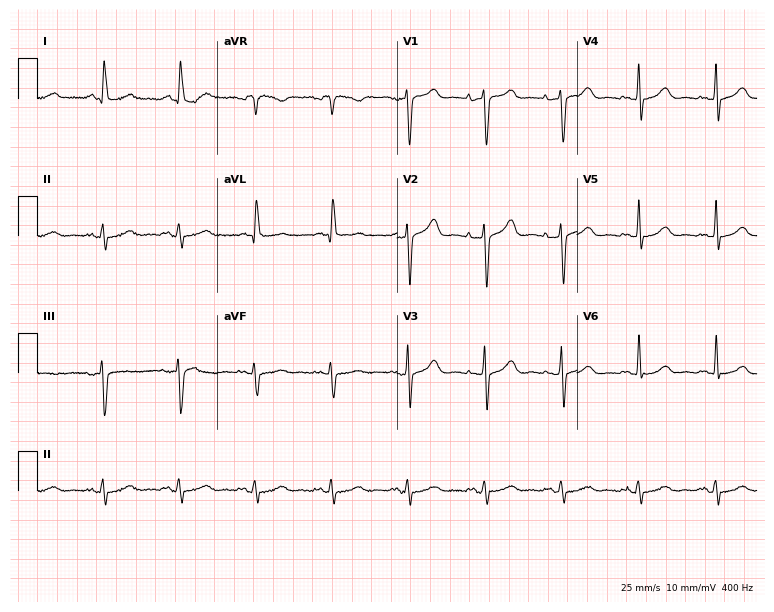
Electrocardiogram, a 69-year-old female. Of the six screened findings (first-degree AV block, right bundle branch block (RBBB), left bundle branch block (LBBB), sinus bradycardia, atrial fibrillation (AF), sinus tachycardia), none is recorded. Only these six findings were labelled.